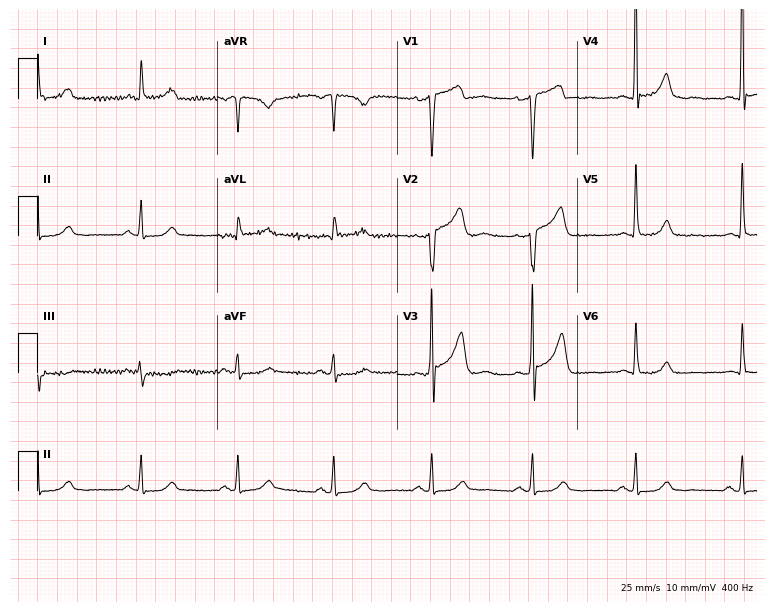
12-lead ECG (7.3-second recording at 400 Hz) from a male, 49 years old. Screened for six findings — first-degree AV block, right bundle branch block, left bundle branch block, sinus bradycardia, atrial fibrillation, sinus tachycardia — none is recorded. Only these six findings were labelled.